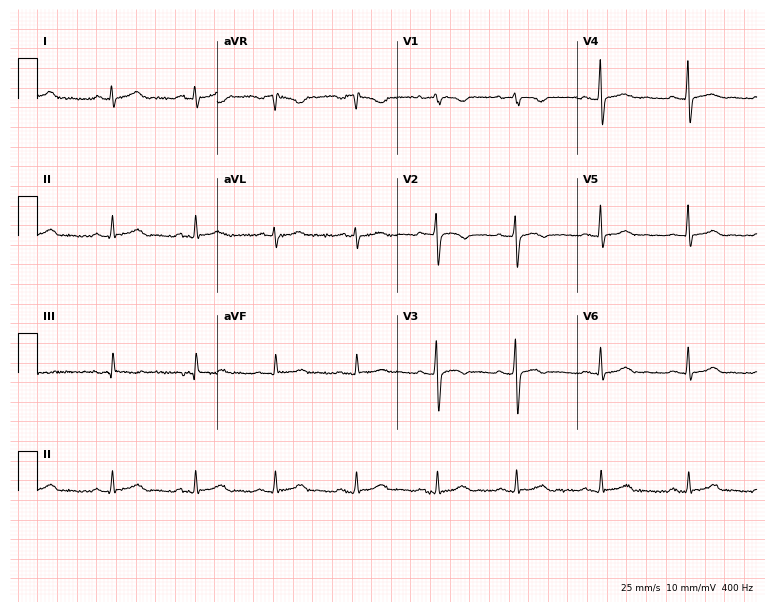
12-lead ECG from a female, 48 years old (7.3-second recording at 400 Hz). Recorded interpretation: within normal limits.